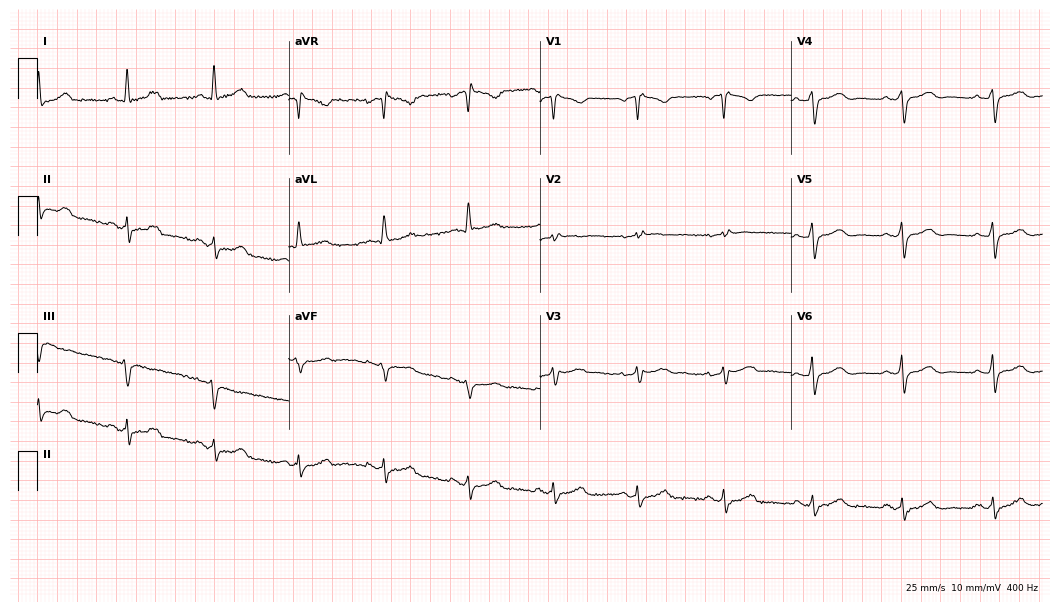
Resting 12-lead electrocardiogram. Patient: a 61-year-old female. The tracing shows right bundle branch block.